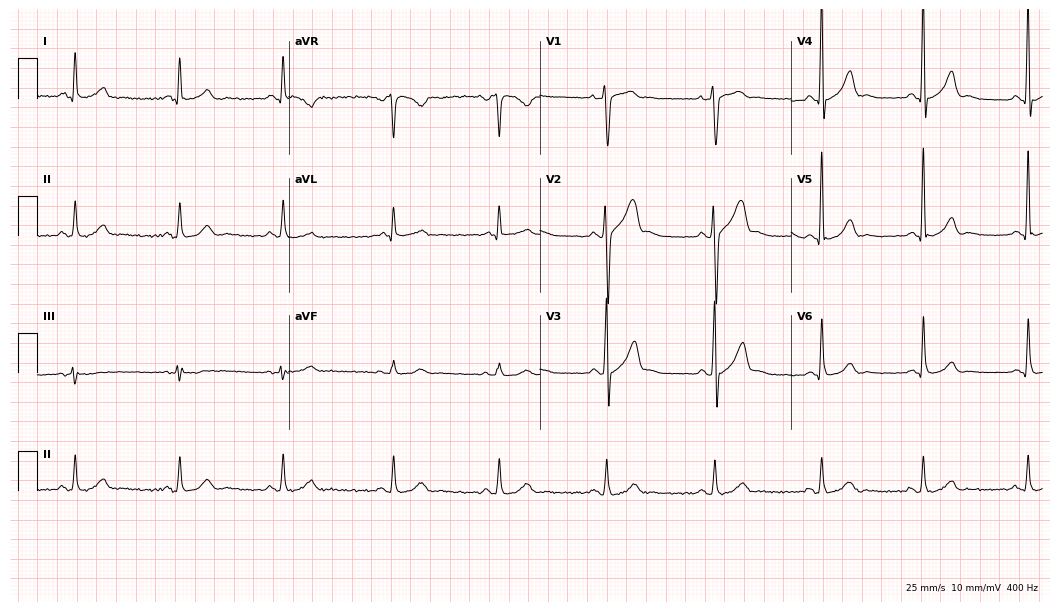
Standard 12-lead ECG recorded from a 39-year-old male patient. Read as a normal ECG.